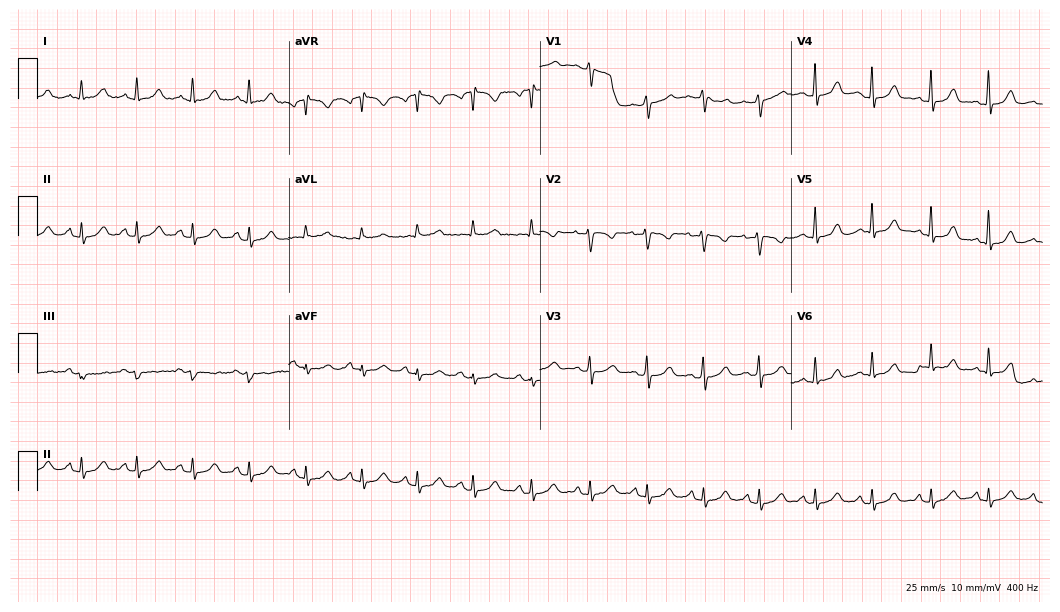
12-lead ECG from a woman, 39 years old. Findings include sinus tachycardia (a sinus rate of 100 beats per minute or more).